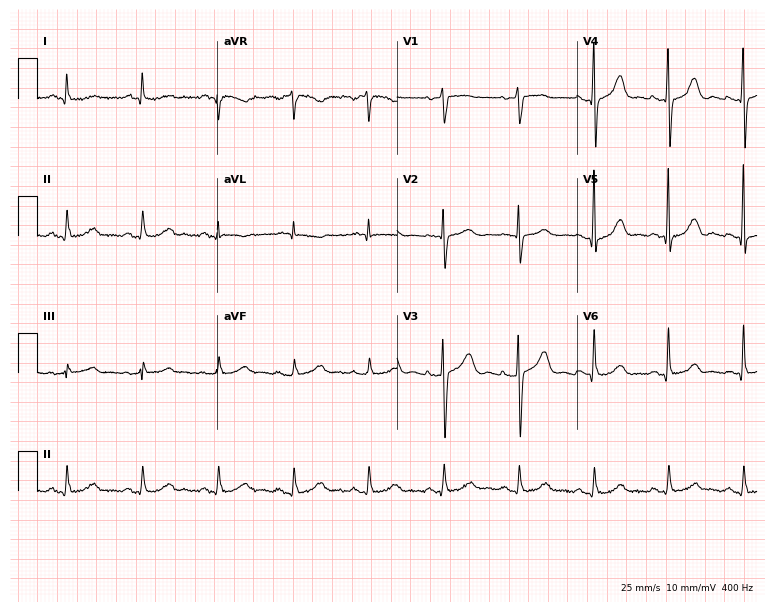
Resting 12-lead electrocardiogram. Patient: a female, 85 years old. Read as a normal ECG.